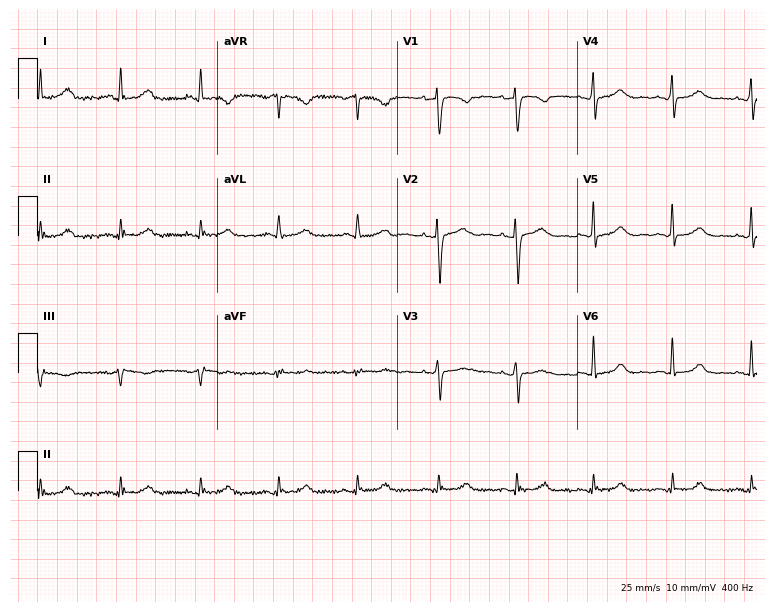
Electrocardiogram, a female, 42 years old. Overall reading on record: normal ECG.